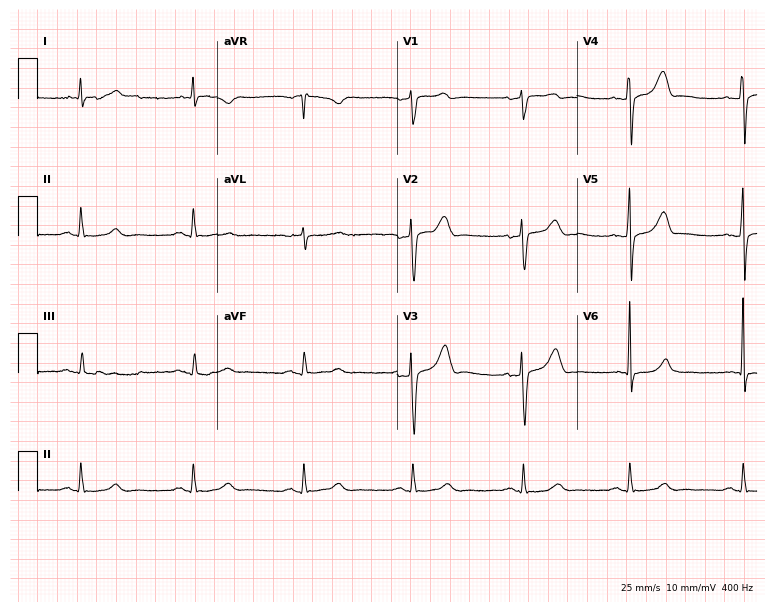
12-lead ECG from a man, 47 years old. Screened for six findings — first-degree AV block, right bundle branch block, left bundle branch block, sinus bradycardia, atrial fibrillation, sinus tachycardia — none is recorded. Findings outside these six are not listed.